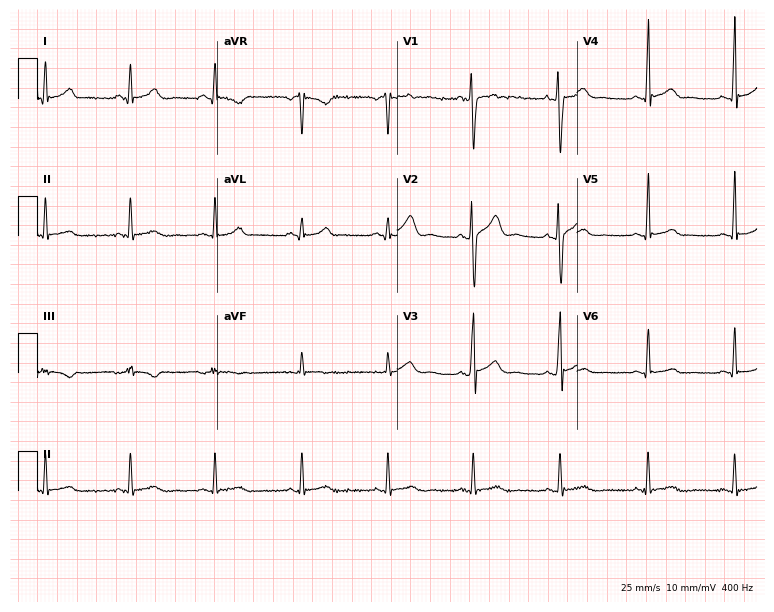
Resting 12-lead electrocardiogram (7.3-second recording at 400 Hz). Patient: a male, 23 years old. None of these six findings is recorded: first-degree AV block, right bundle branch block, left bundle branch block, sinus bradycardia, atrial fibrillation, sinus tachycardia. Other findings, if any, are not listed.